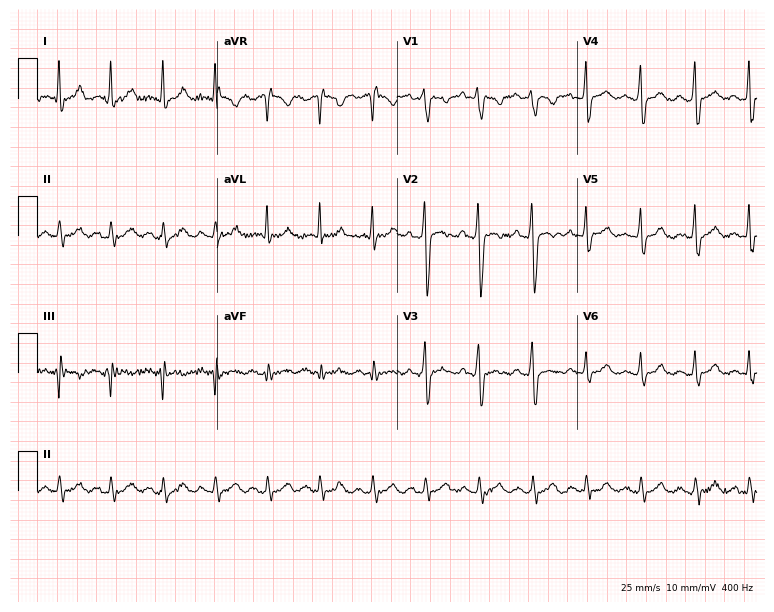
Electrocardiogram (7.3-second recording at 400 Hz), a male patient, 33 years old. Interpretation includes sinus tachycardia (a sinus rate of 100 beats per minute or more).